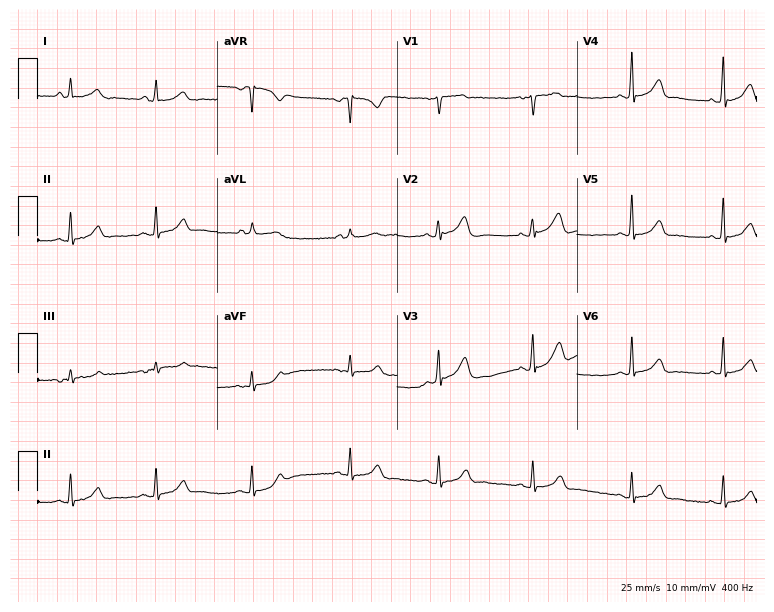
12-lead ECG (7.3-second recording at 400 Hz) from a woman, 45 years old. Screened for six findings — first-degree AV block, right bundle branch block, left bundle branch block, sinus bradycardia, atrial fibrillation, sinus tachycardia — none is recorded.